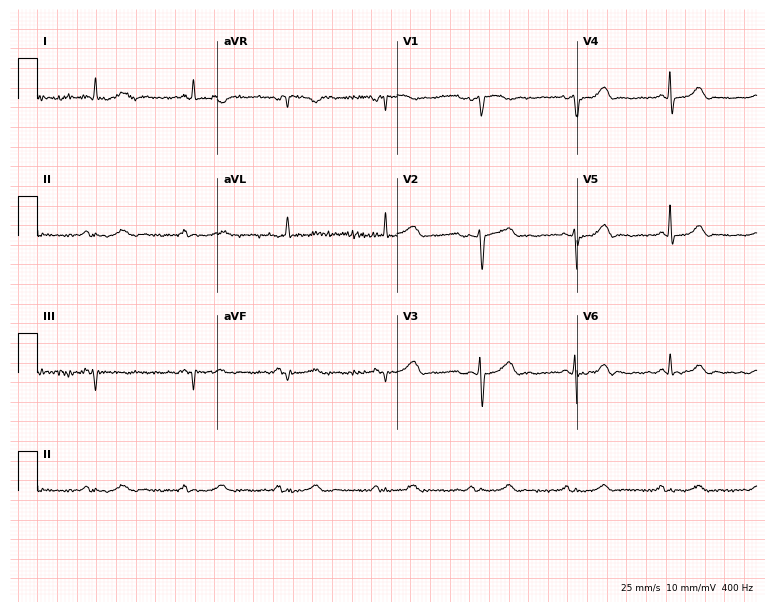
Electrocardiogram, a female, 83 years old. Overall reading on record: normal ECG.